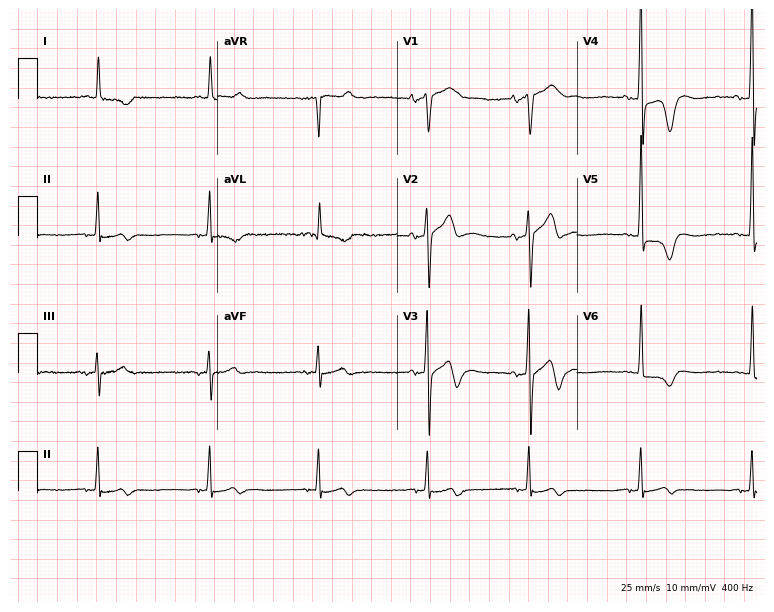
12-lead ECG (7.3-second recording at 400 Hz) from a woman, 83 years old. Screened for six findings — first-degree AV block, right bundle branch block, left bundle branch block, sinus bradycardia, atrial fibrillation, sinus tachycardia — none is recorded. Other findings, if any, are not listed.